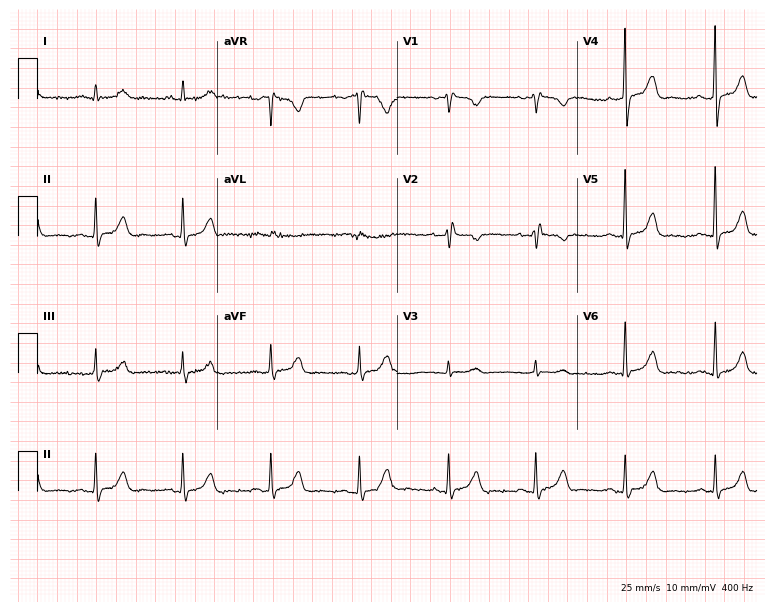
Electrocardiogram (7.3-second recording at 400 Hz), a 40-year-old male patient. Of the six screened findings (first-degree AV block, right bundle branch block (RBBB), left bundle branch block (LBBB), sinus bradycardia, atrial fibrillation (AF), sinus tachycardia), none is recorded.